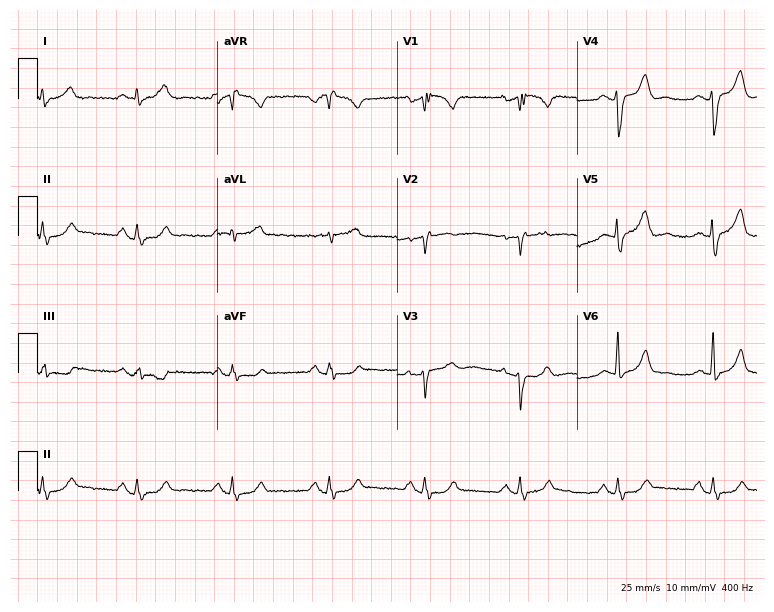
12-lead ECG (7.3-second recording at 400 Hz) from a 60-year-old man. Screened for six findings — first-degree AV block, right bundle branch block, left bundle branch block, sinus bradycardia, atrial fibrillation, sinus tachycardia — none is recorded. Findings outside these six are not listed.